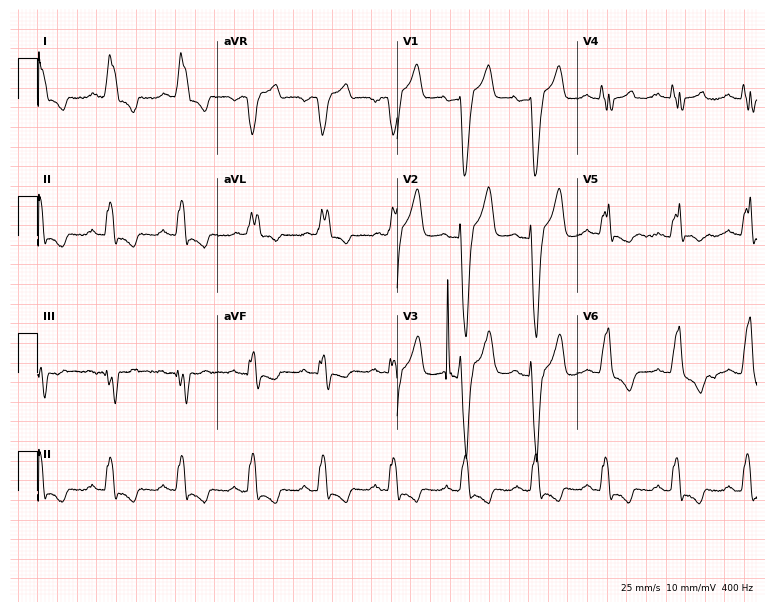
Electrocardiogram (7.3-second recording at 400 Hz), a female patient, 68 years old. Interpretation includes left bundle branch block.